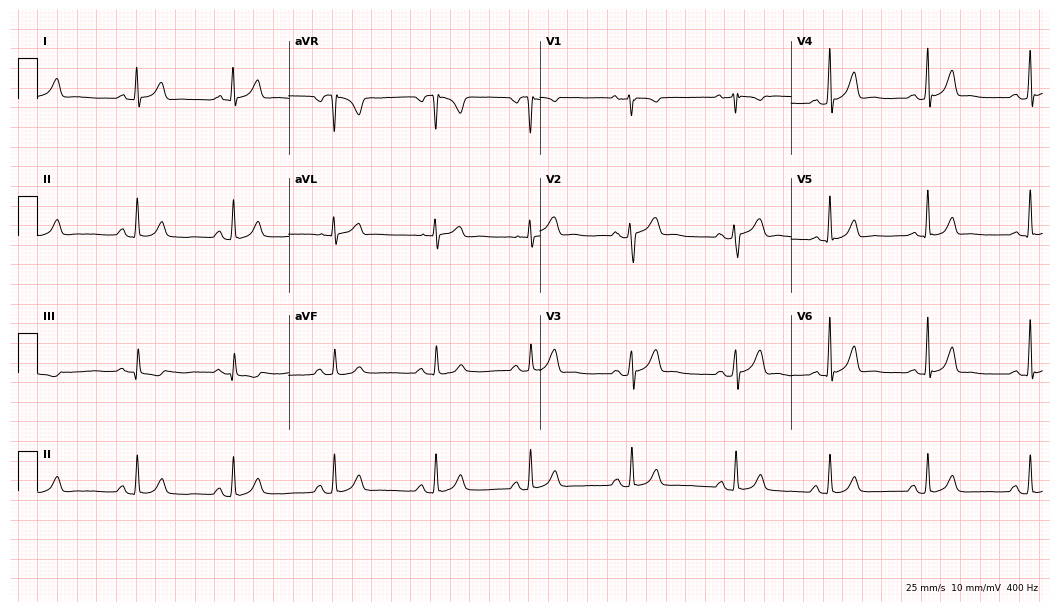
12-lead ECG (10.2-second recording at 400 Hz) from a 40-year-old female. Labelled as a normal ECG.